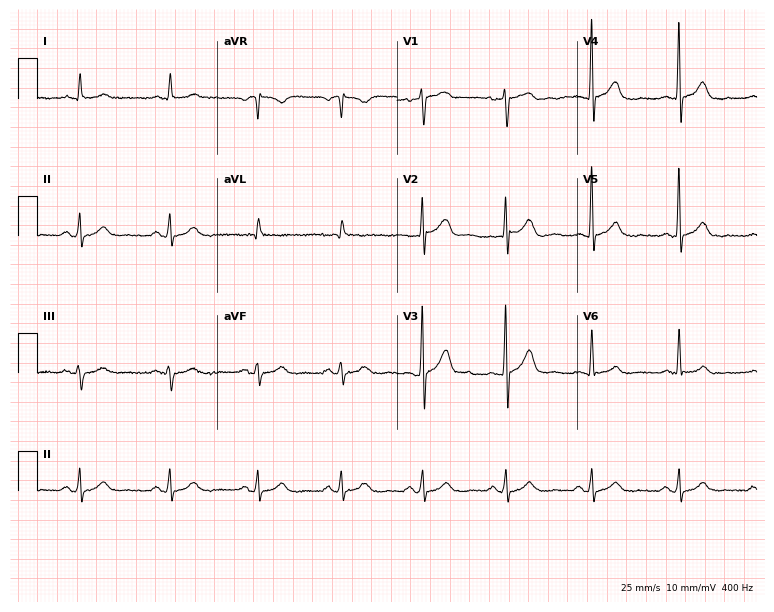
Resting 12-lead electrocardiogram. Patient: a 54-year-old man. None of these six findings is recorded: first-degree AV block, right bundle branch block, left bundle branch block, sinus bradycardia, atrial fibrillation, sinus tachycardia. Findings outside these six are not listed.